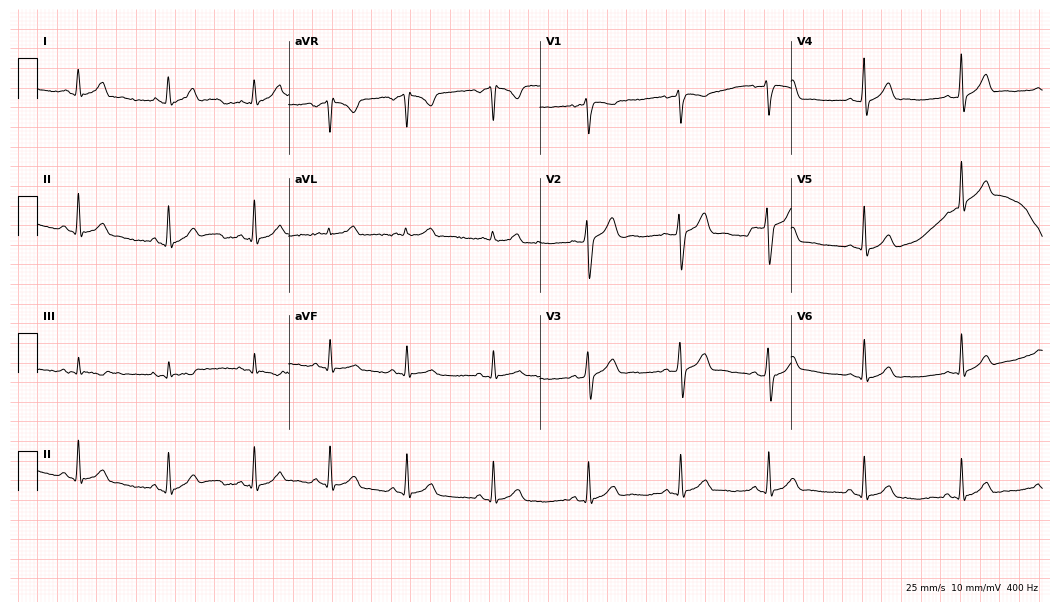
ECG — a 26-year-old male. Labelled as a normal ECG.